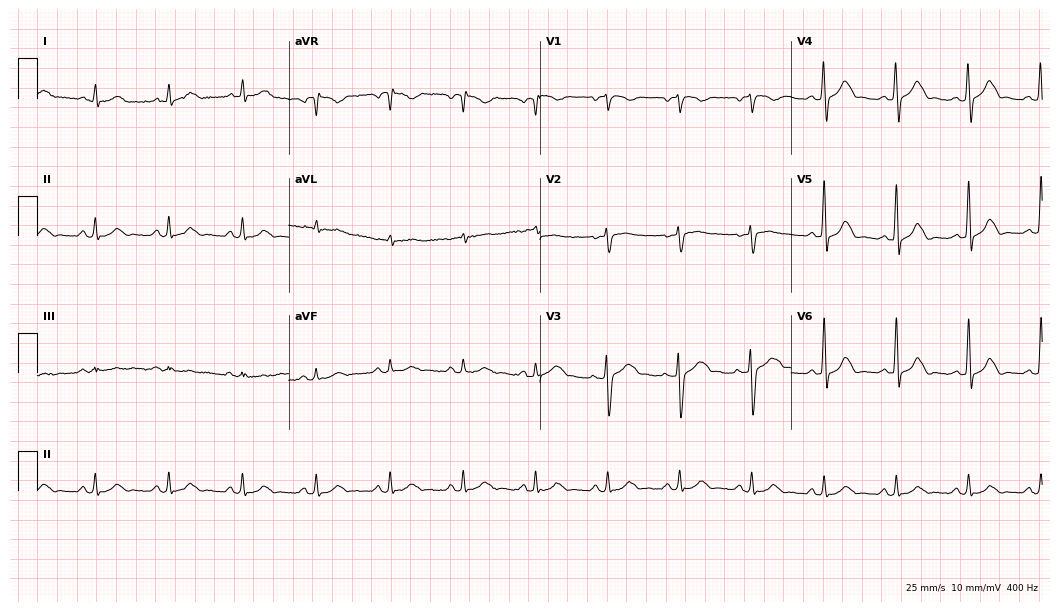
Resting 12-lead electrocardiogram. Patient: a man, 52 years old. Read as a normal ECG.